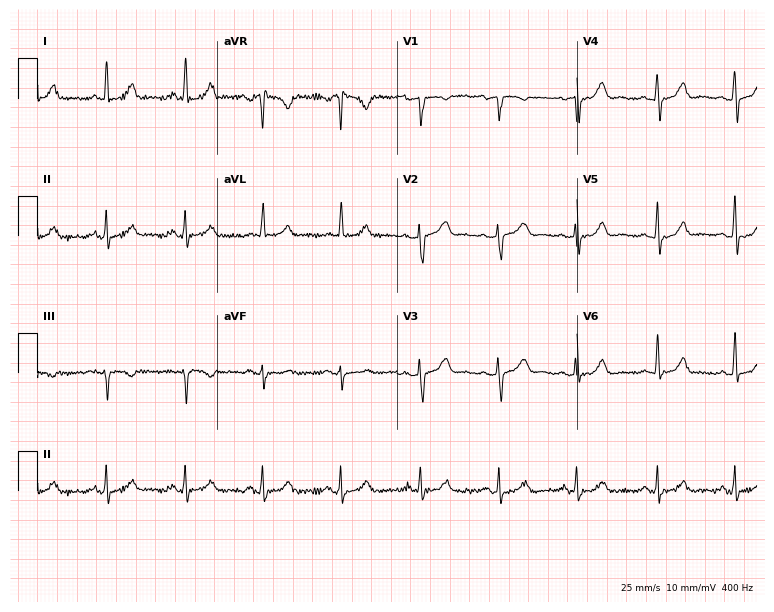
12-lead ECG from a 47-year-old female. Recorded interpretation: within normal limits.